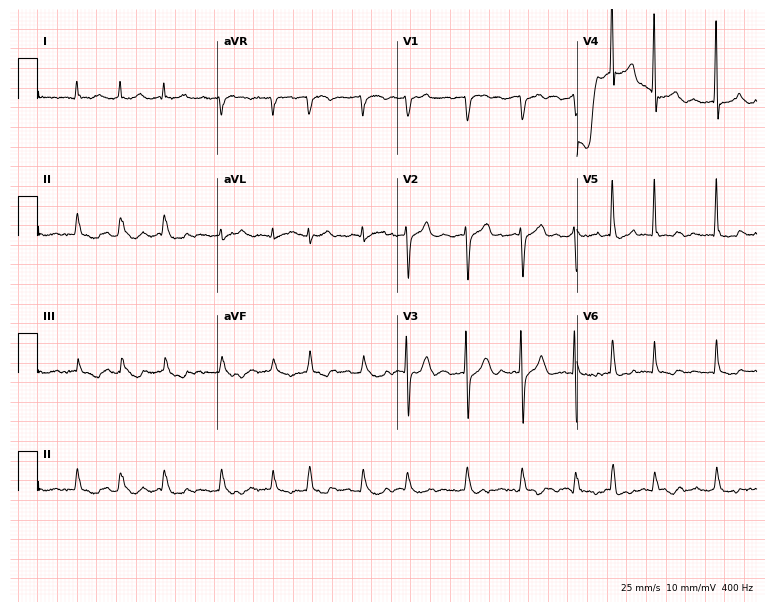
12-lead ECG from a male patient, 83 years old. Shows atrial fibrillation.